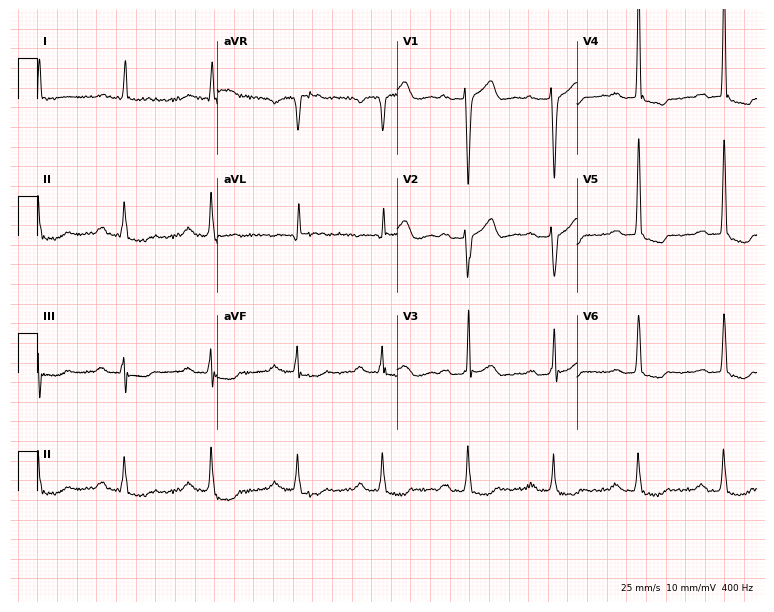
12-lead ECG from a male, 85 years old (7.3-second recording at 400 Hz). Shows first-degree AV block.